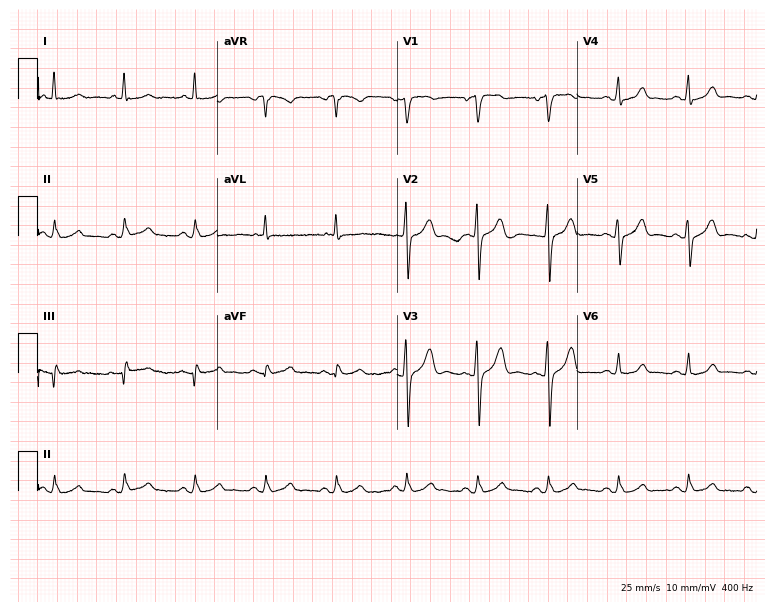
12-lead ECG (7.3-second recording at 400 Hz) from a 69-year-old male patient. Labelled as a normal ECG.